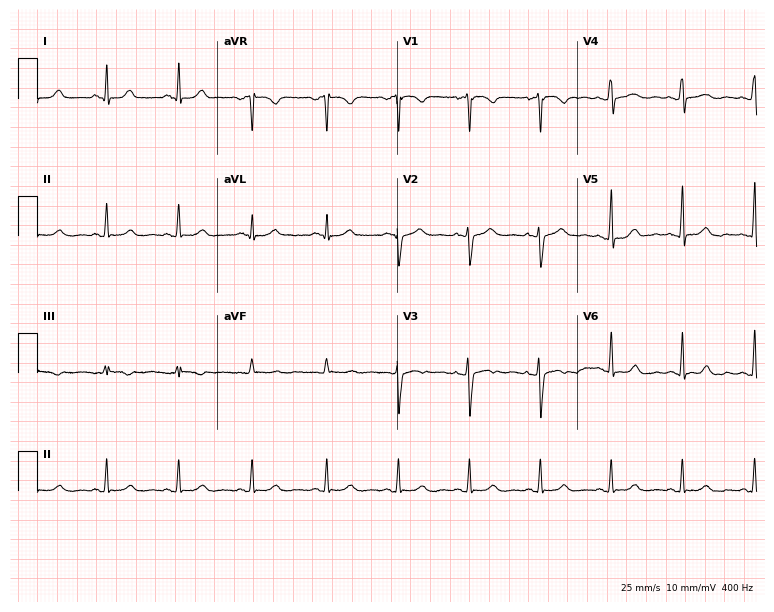
12-lead ECG from a woman, 49 years old. Labelled as a normal ECG.